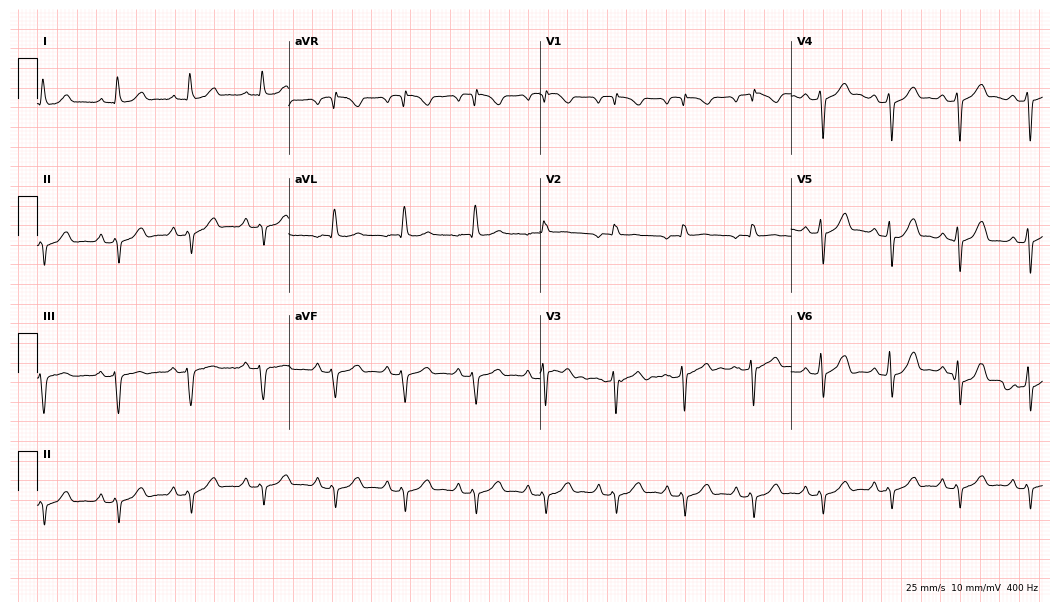
ECG — a woman, 72 years old. Screened for six findings — first-degree AV block, right bundle branch block, left bundle branch block, sinus bradycardia, atrial fibrillation, sinus tachycardia — none is recorded. Other findings, if any, are not listed.